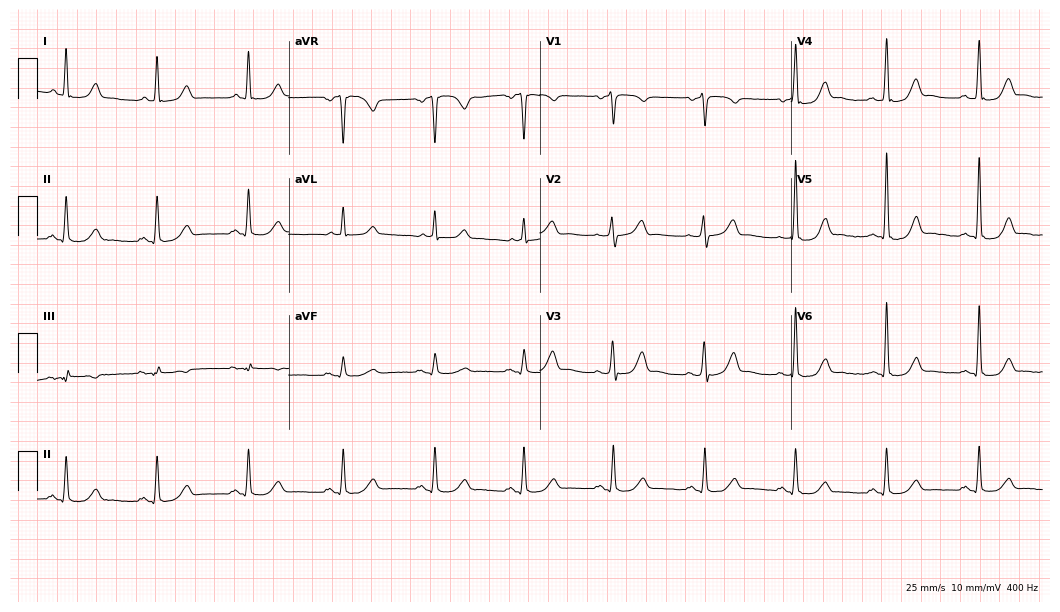
Standard 12-lead ECG recorded from a 53-year-old male patient (10.2-second recording at 400 Hz). Read as a normal ECG.